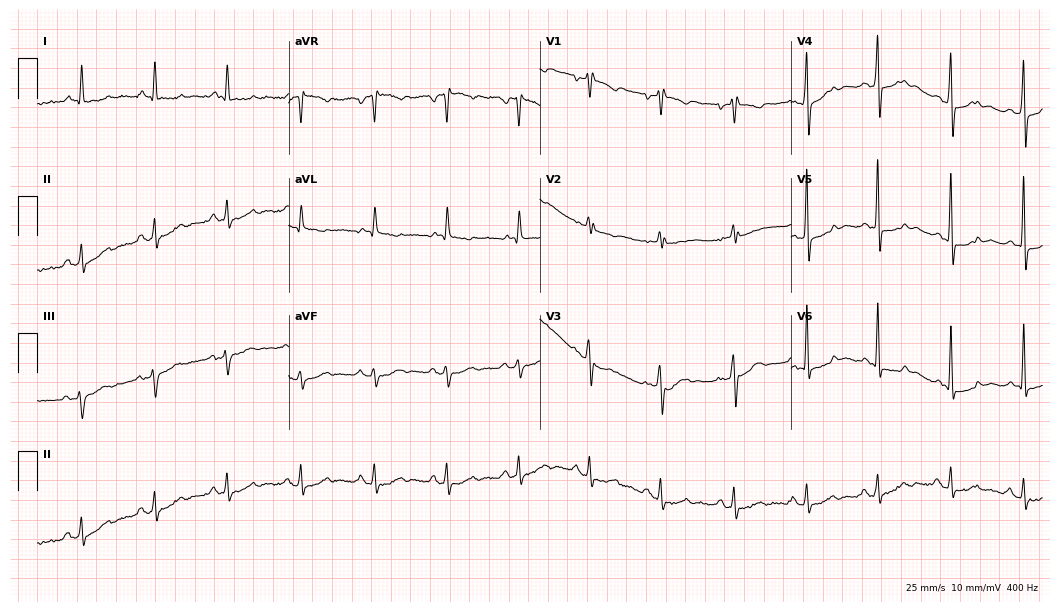
12-lead ECG from a 73-year-old man. No first-degree AV block, right bundle branch block, left bundle branch block, sinus bradycardia, atrial fibrillation or sinus tachycardia recorded for this tracing.